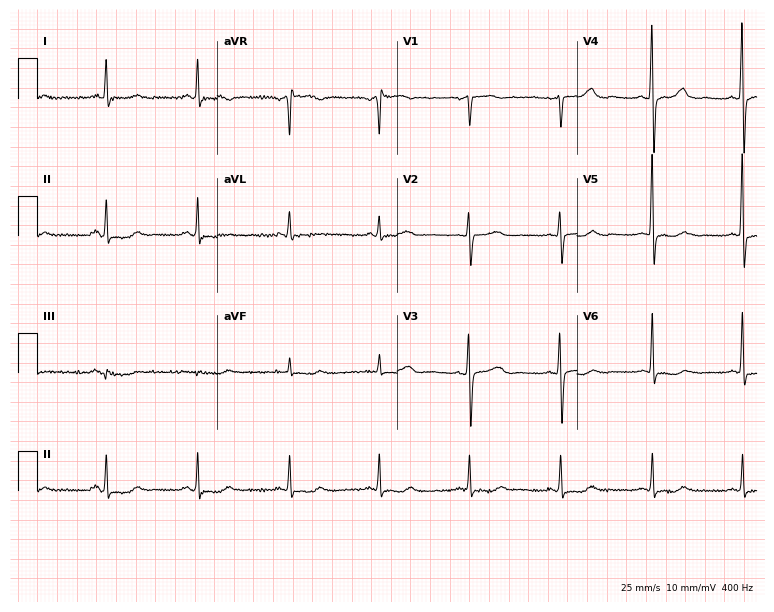
Electrocardiogram (7.3-second recording at 400 Hz), a female, 53 years old. Of the six screened findings (first-degree AV block, right bundle branch block, left bundle branch block, sinus bradycardia, atrial fibrillation, sinus tachycardia), none is recorded. Other findings, if any, are not listed.